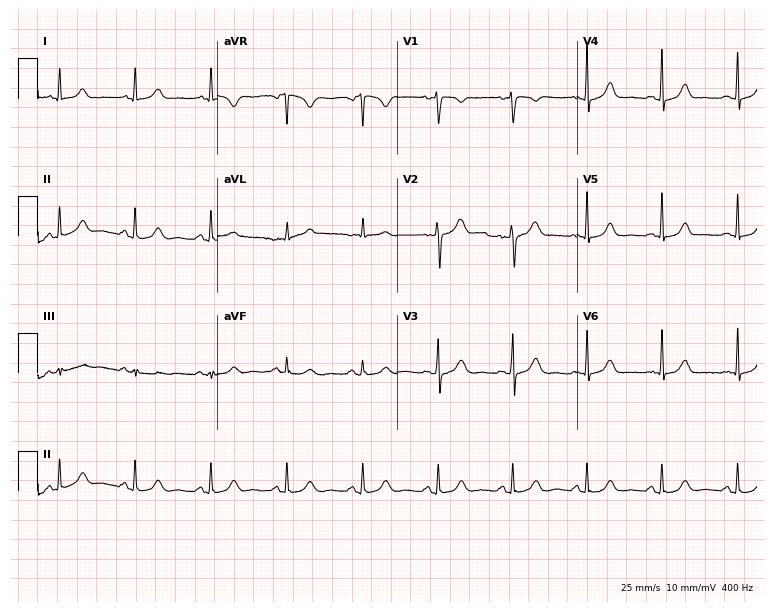
Standard 12-lead ECG recorded from a 38-year-old female (7.3-second recording at 400 Hz). Read as a normal ECG.